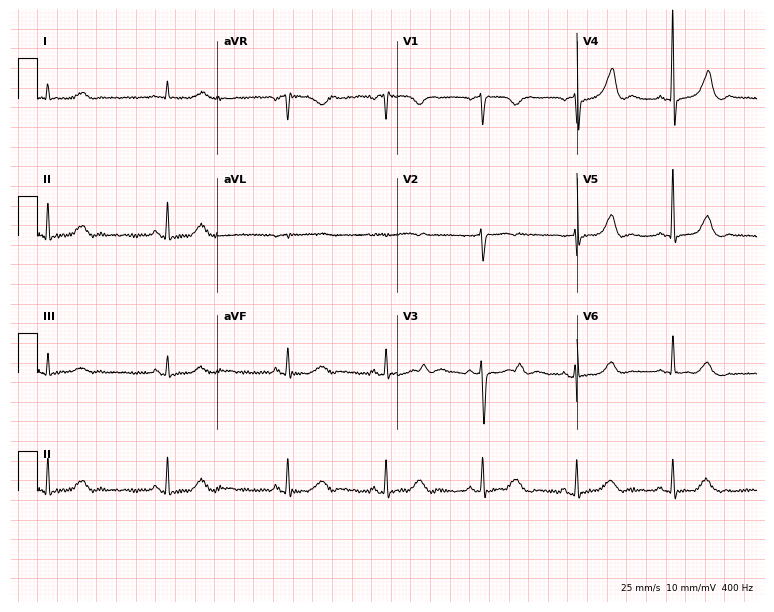
Resting 12-lead electrocardiogram. Patient: a 57-year-old woman. None of these six findings is recorded: first-degree AV block, right bundle branch block (RBBB), left bundle branch block (LBBB), sinus bradycardia, atrial fibrillation (AF), sinus tachycardia.